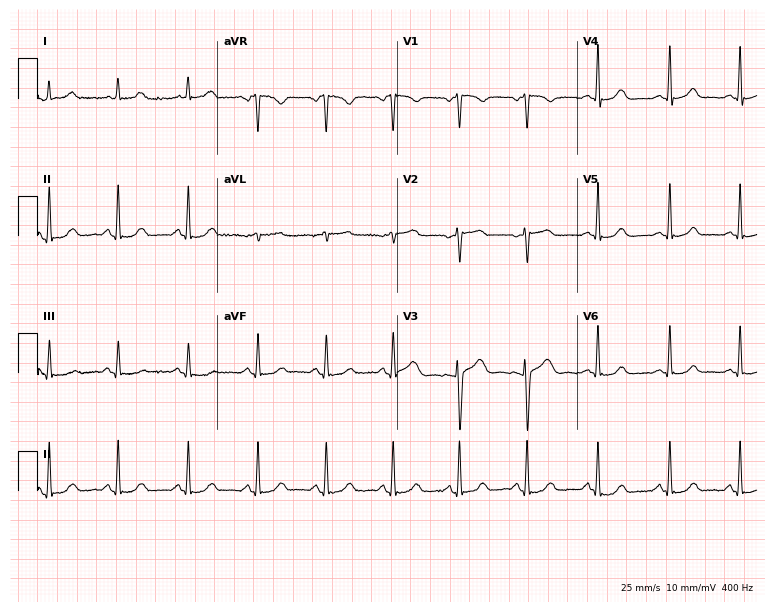
Standard 12-lead ECG recorded from a female patient, 54 years old. None of these six findings is recorded: first-degree AV block, right bundle branch block (RBBB), left bundle branch block (LBBB), sinus bradycardia, atrial fibrillation (AF), sinus tachycardia.